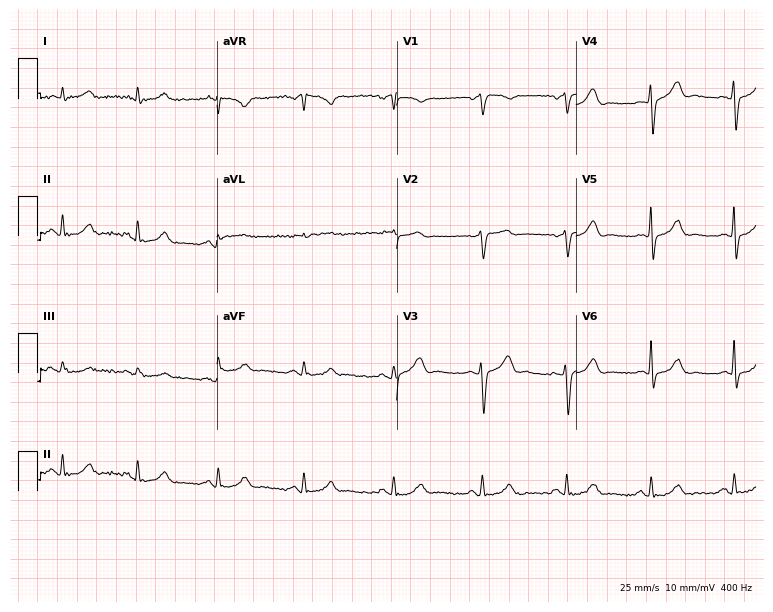
ECG (7.3-second recording at 400 Hz) — a 69-year-old male patient. Labelled as a normal ECG.